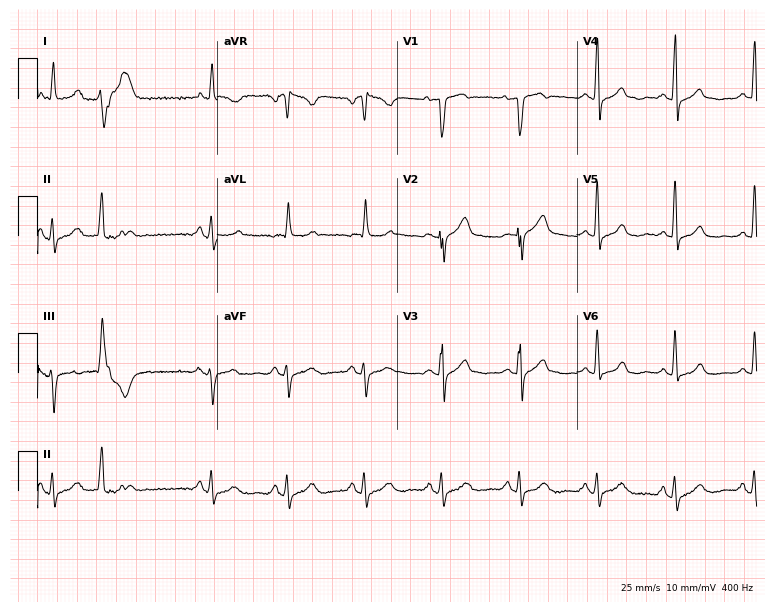
12-lead ECG from a female, 79 years old (7.3-second recording at 400 Hz). No first-degree AV block, right bundle branch block (RBBB), left bundle branch block (LBBB), sinus bradycardia, atrial fibrillation (AF) or sinus tachycardia recorded for this tracing.